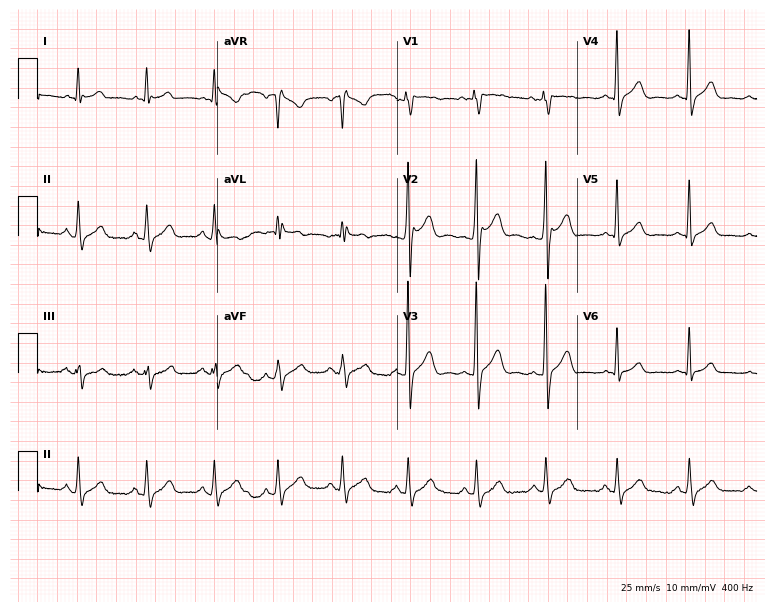
Standard 12-lead ECG recorded from a man, 44 years old. None of these six findings is recorded: first-degree AV block, right bundle branch block, left bundle branch block, sinus bradycardia, atrial fibrillation, sinus tachycardia. Only these six findings were labelled.